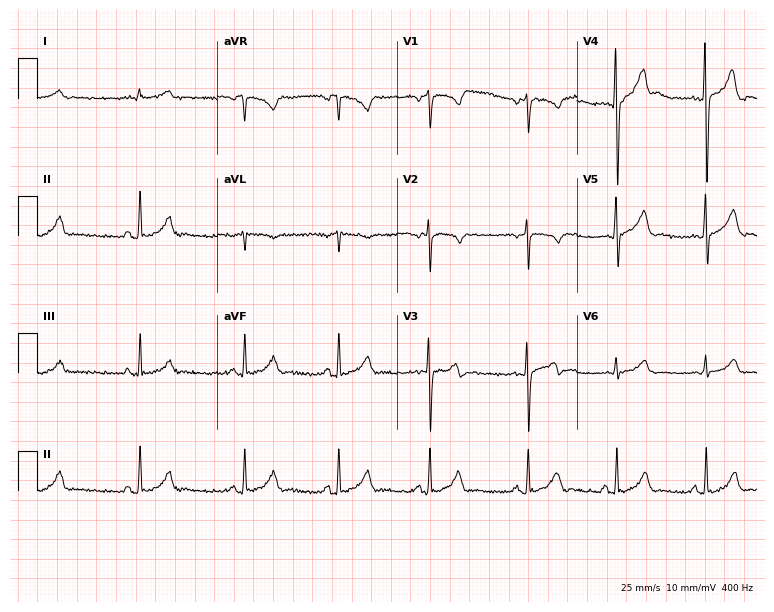
12-lead ECG from a 22-year-old male patient. Labelled as a normal ECG.